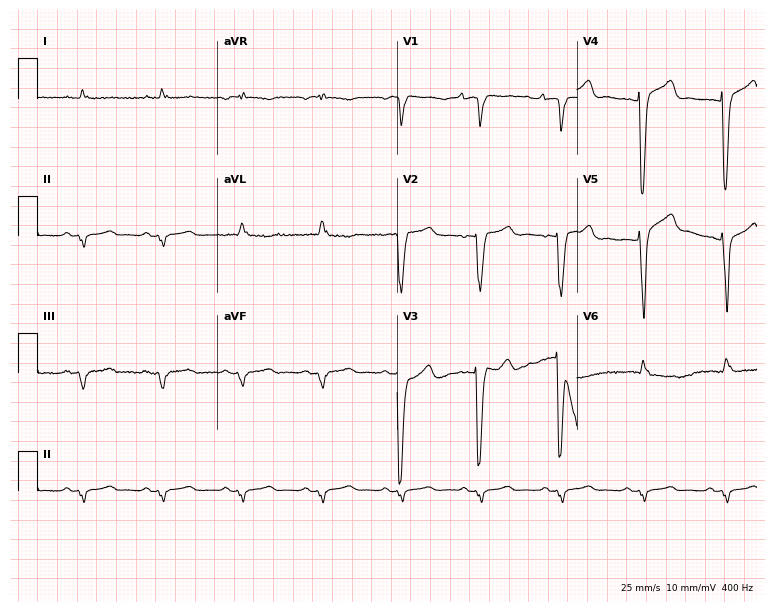
12-lead ECG from a man, 65 years old (7.3-second recording at 400 Hz). No first-degree AV block, right bundle branch block, left bundle branch block, sinus bradycardia, atrial fibrillation or sinus tachycardia recorded for this tracing. Only these six findings were labelled.